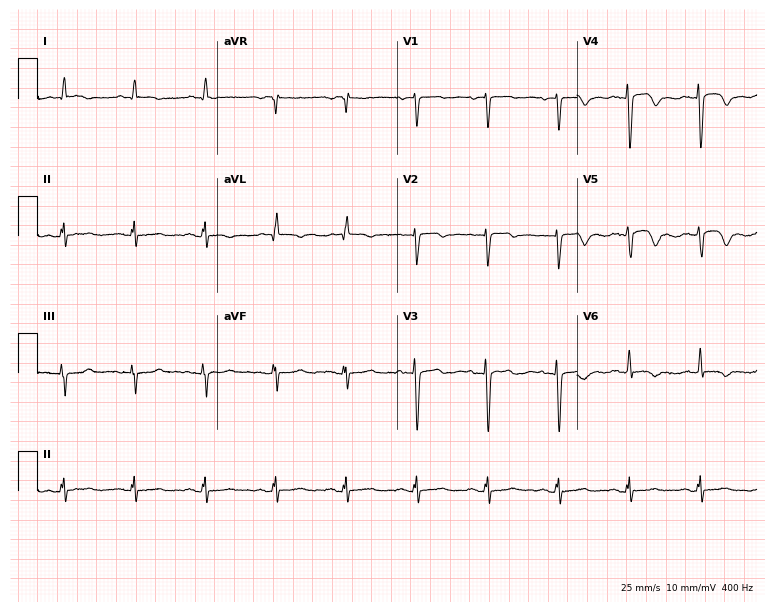
ECG (7.3-second recording at 400 Hz) — a 63-year-old female. Screened for six findings — first-degree AV block, right bundle branch block (RBBB), left bundle branch block (LBBB), sinus bradycardia, atrial fibrillation (AF), sinus tachycardia — none is recorded. Only these six findings were labelled.